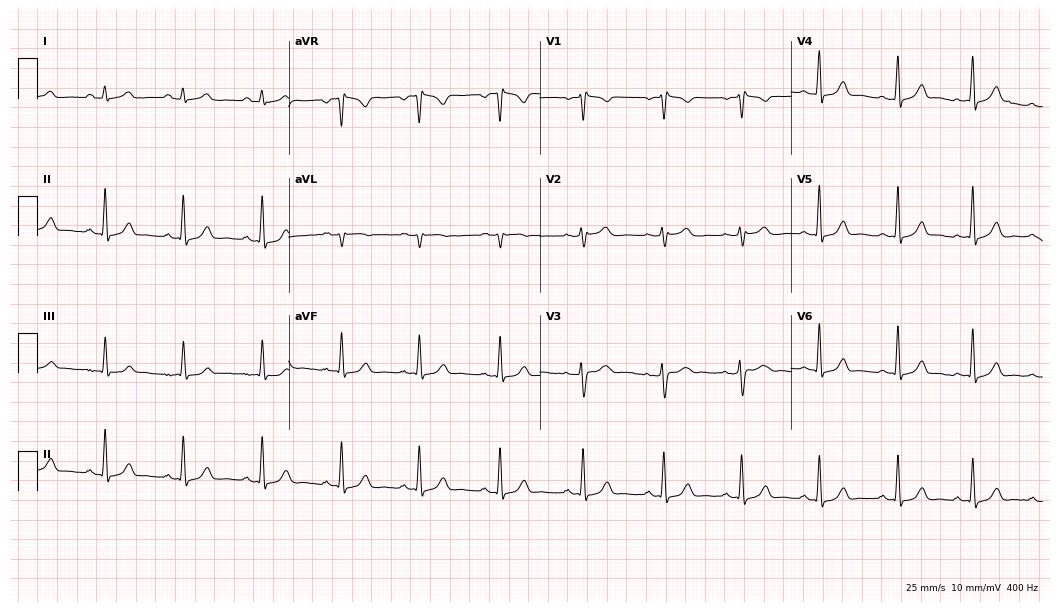
Electrocardiogram, a 35-year-old female patient. Of the six screened findings (first-degree AV block, right bundle branch block (RBBB), left bundle branch block (LBBB), sinus bradycardia, atrial fibrillation (AF), sinus tachycardia), none is recorded.